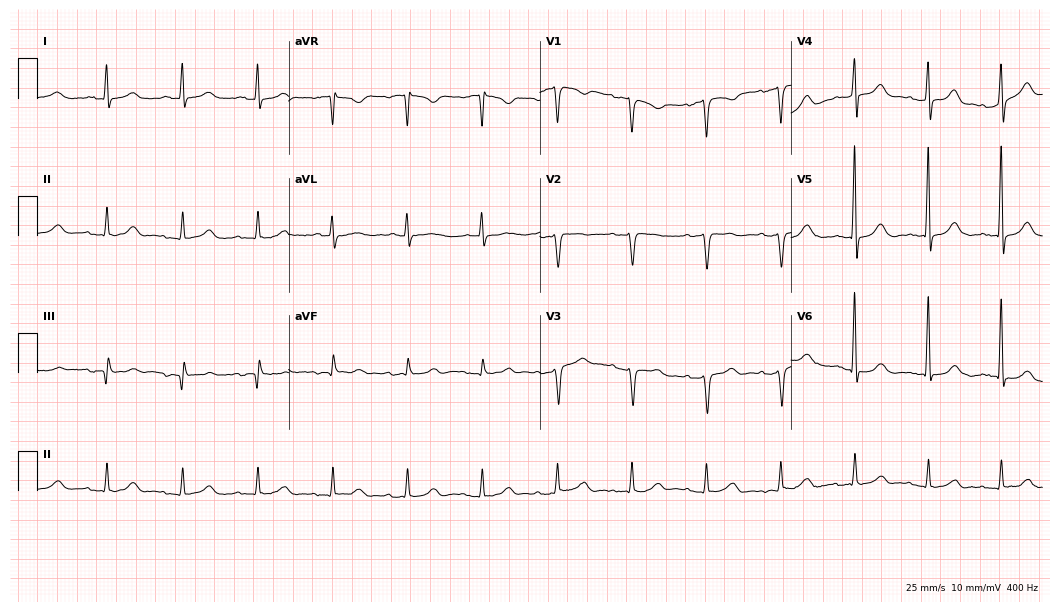
Standard 12-lead ECG recorded from a female, 79 years old (10.2-second recording at 400 Hz). None of these six findings is recorded: first-degree AV block, right bundle branch block (RBBB), left bundle branch block (LBBB), sinus bradycardia, atrial fibrillation (AF), sinus tachycardia.